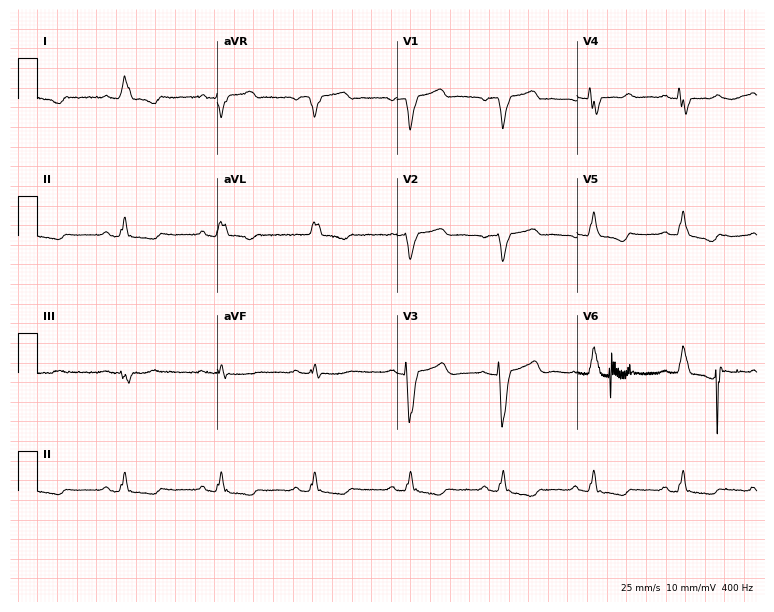
12-lead ECG from a female, 74 years old (7.3-second recording at 400 Hz). Shows left bundle branch block.